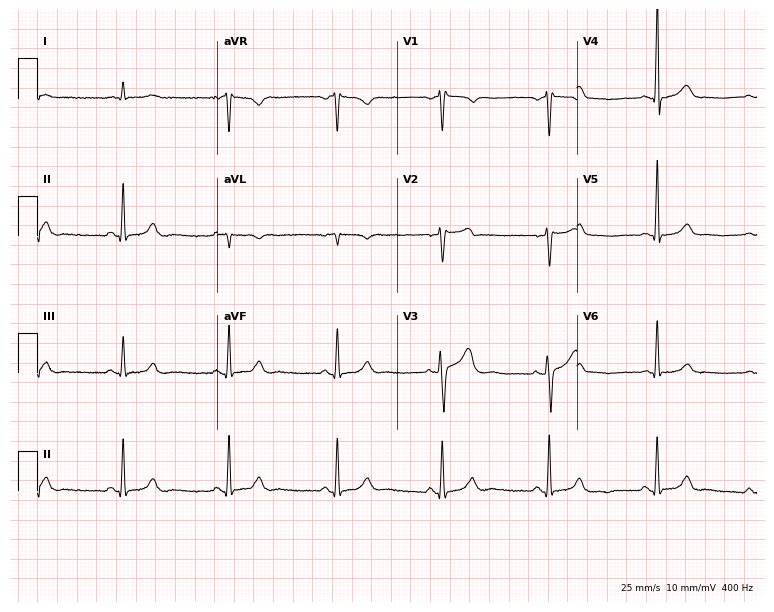
12-lead ECG (7.3-second recording at 400 Hz) from a 56-year-old man. Labelled as a normal ECG.